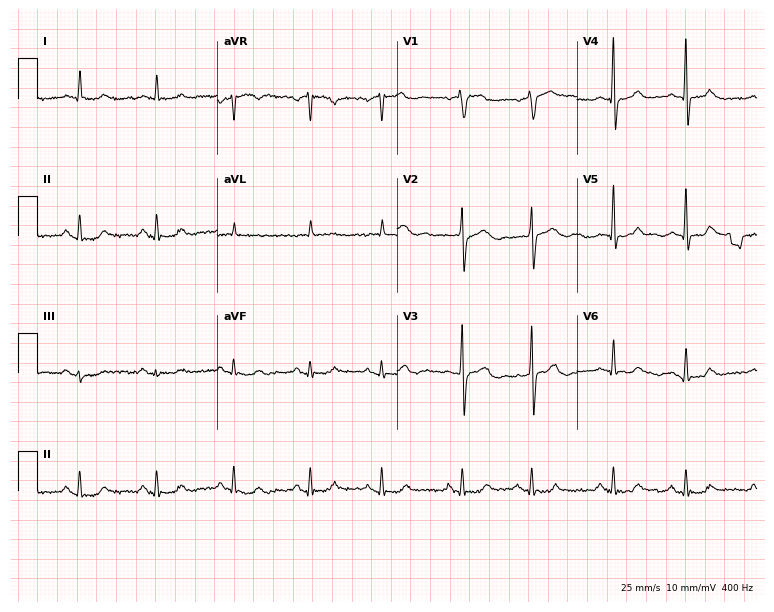
12-lead ECG (7.3-second recording at 400 Hz) from a man, 70 years old. Screened for six findings — first-degree AV block, right bundle branch block, left bundle branch block, sinus bradycardia, atrial fibrillation, sinus tachycardia — none is recorded. Other findings, if any, are not listed.